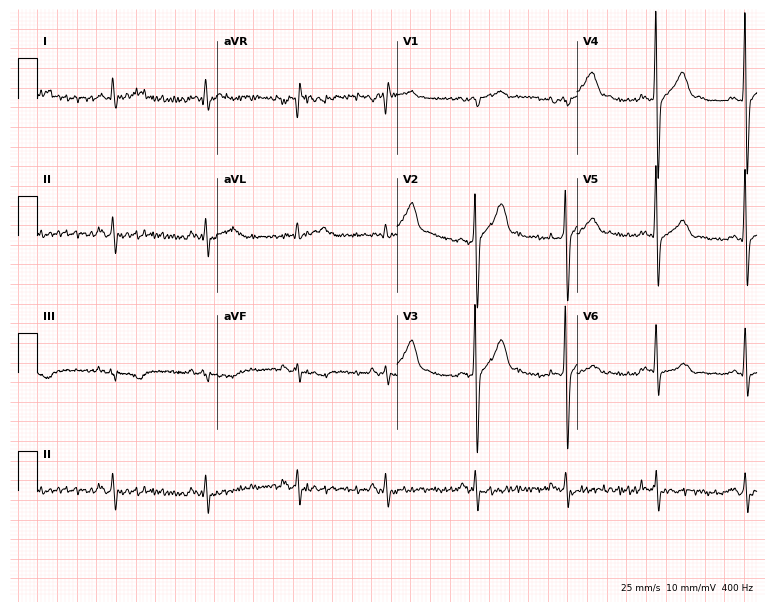
Resting 12-lead electrocardiogram. Patient: a 64-year-old male. None of these six findings is recorded: first-degree AV block, right bundle branch block (RBBB), left bundle branch block (LBBB), sinus bradycardia, atrial fibrillation (AF), sinus tachycardia. Only these six findings were labelled.